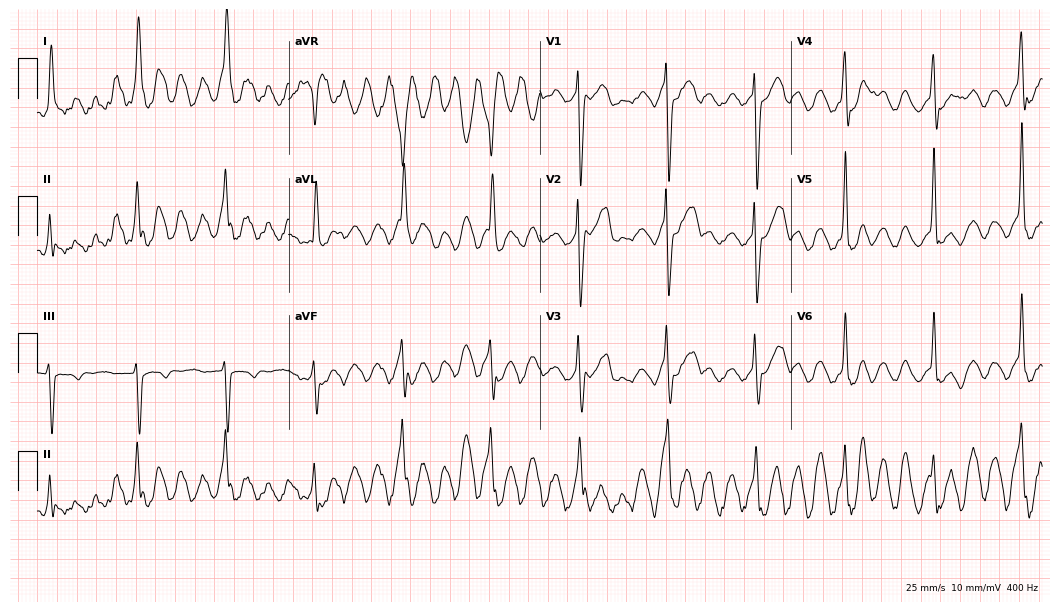
12-lead ECG (10.2-second recording at 400 Hz) from a male, 78 years old. Screened for six findings — first-degree AV block, right bundle branch block, left bundle branch block, sinus bradycardia, atrial fibrillation, sinus tachycardia — none is recorded.